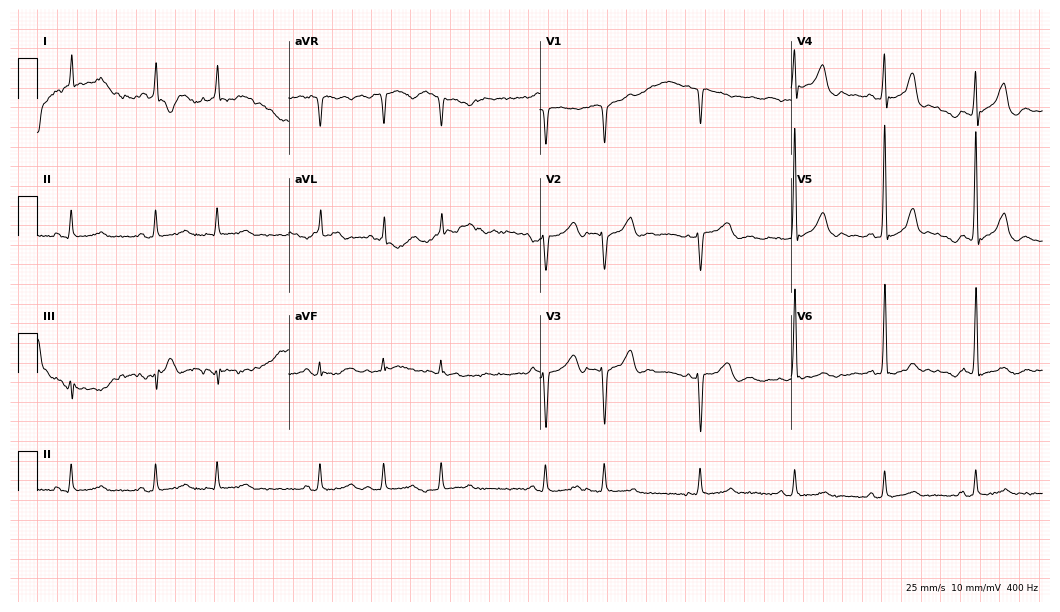
Standard 12-lead ECG recorded from a male patient, 84 years old. Read as a normal ECG.